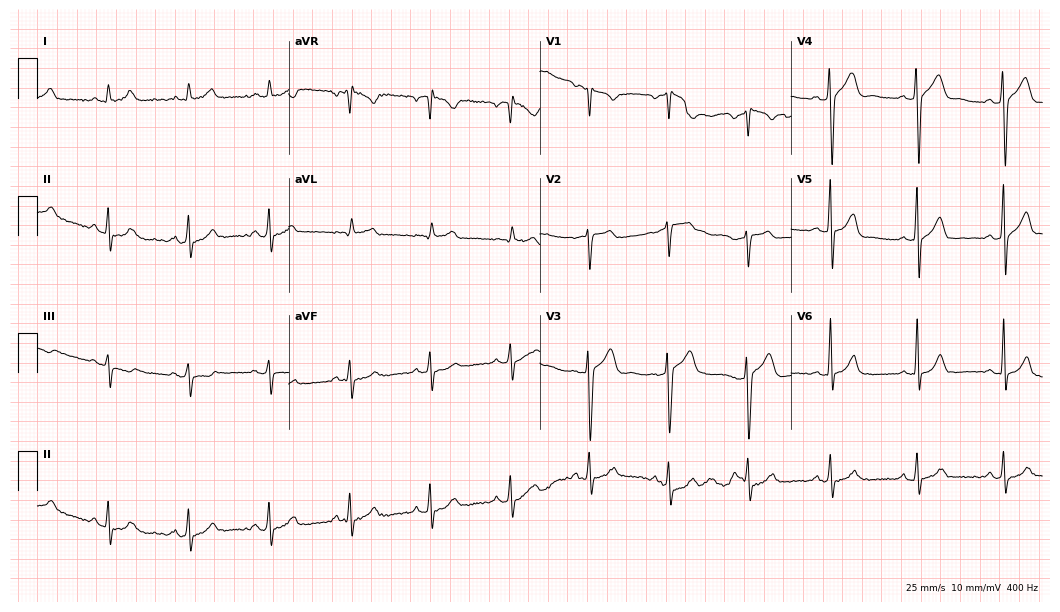
12-lead ECG from a 46-year-old male. Labelled as a normal ECG.